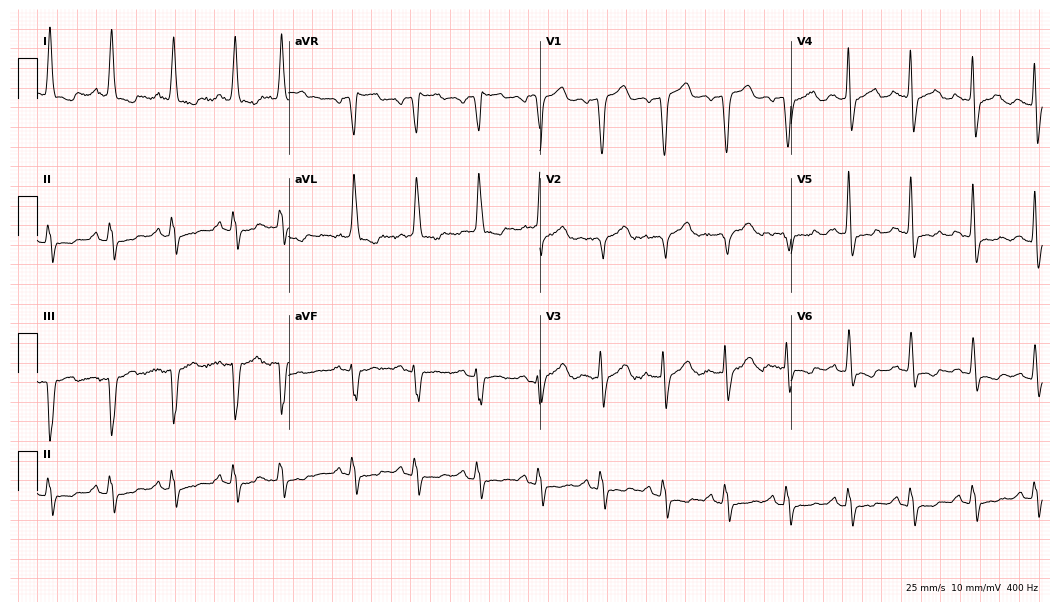
Electrocardiogram, a 72-year-old female patient. Of the six screened findings (first-degree AV block, right bundle branch block, left bundle branch block, sinus bradycardia, atrial fibrillation, sinus tachycardia), none is recorded. Other findings, if any, are not listed.